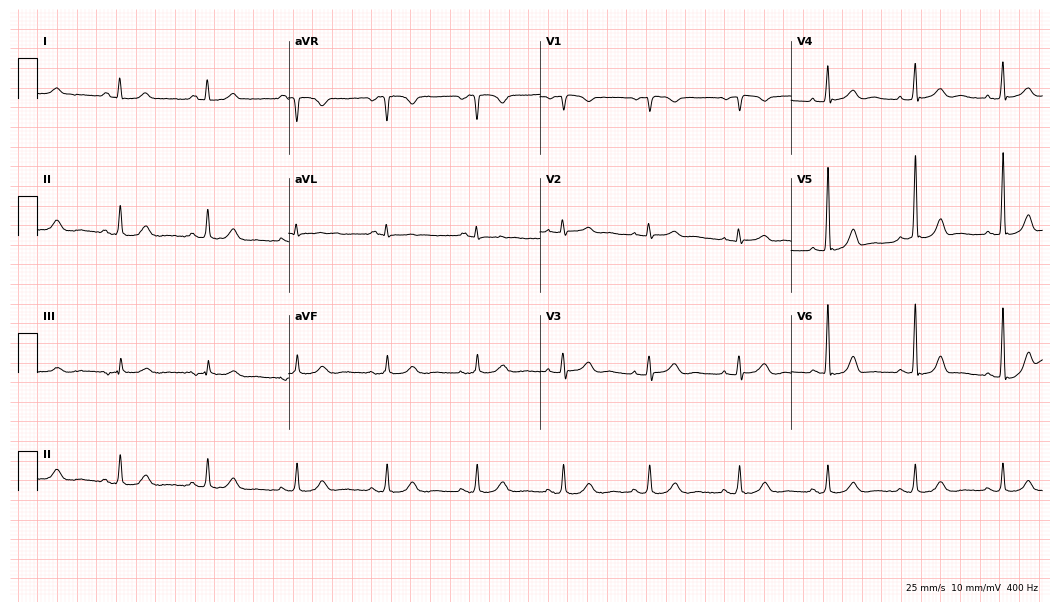
12-lead ECG from a 38-year-old female patient. No first-degree AV block, right bundle branch block, left bundle branch block, sinus bradycardia, atrial fibrillation or sinus tachycardia recorded for this tracing.